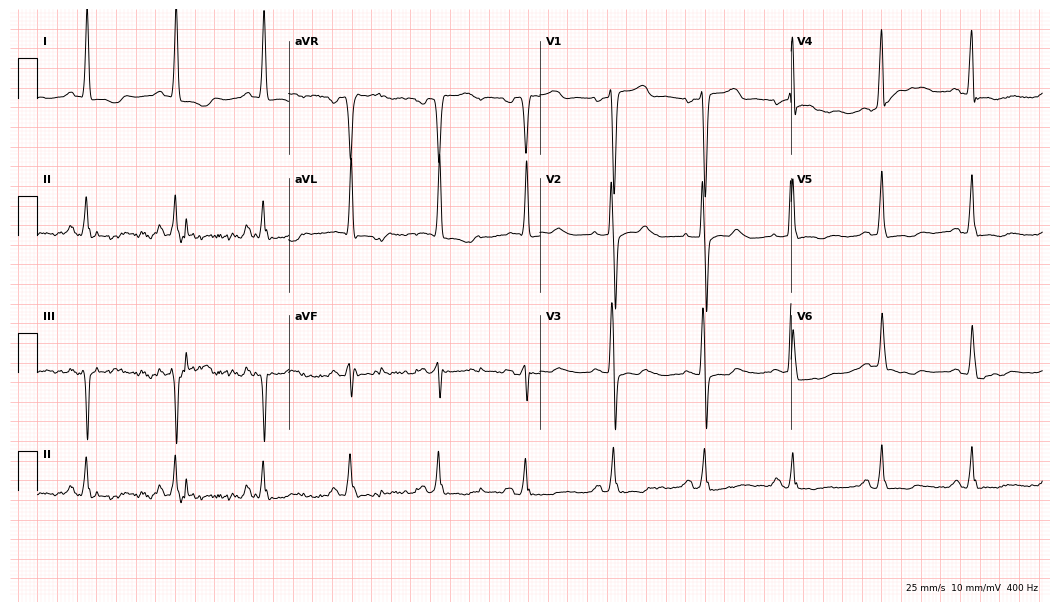
Electrocardiogram (10.2-second recording at 400 Hz), a 46-year-old male. Of the six screened findings (first-degree AV block, right bundle branch block, left bundle branch block, sinus bradycardia, atrial fibrillation, sinus tachycardia), none is recorded. Only these six findings were labelled.